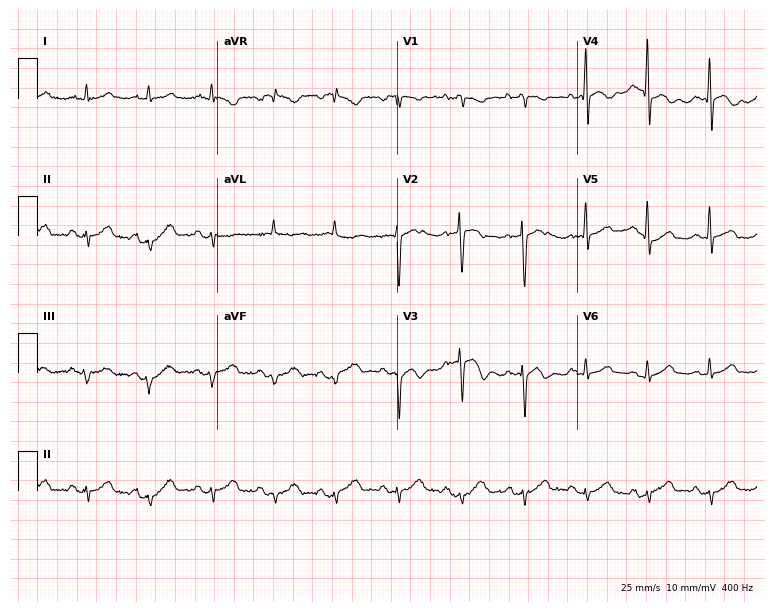
ECG (7.3-second recording at 400 Hz) — an 80-year-old male. Screened for six findings — first-degree AV block, right bundle branch block, left bundle branch block, sinus bradycardia, atrial fibrillation, sinus tachycardia — none is recorded. Findings outside these six are not listed.